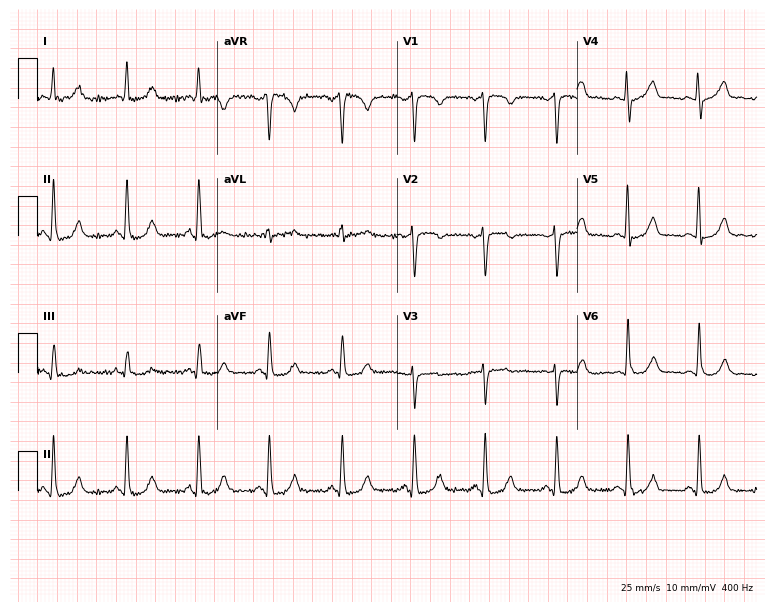
12-lead ECG from a 41-year-old female patient. Labelled as a normal ECG.